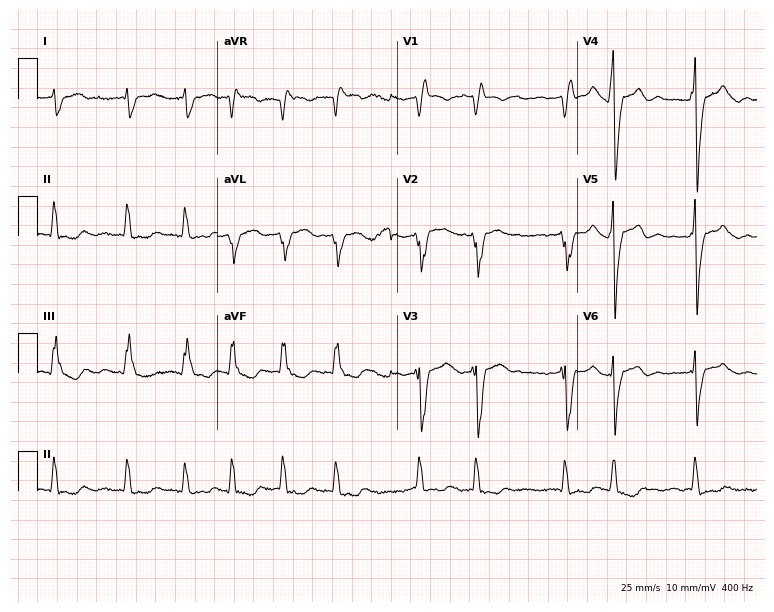
ECG — a male patient, 72 years old. Findings include right bundle branch block, atrial fibrillation.